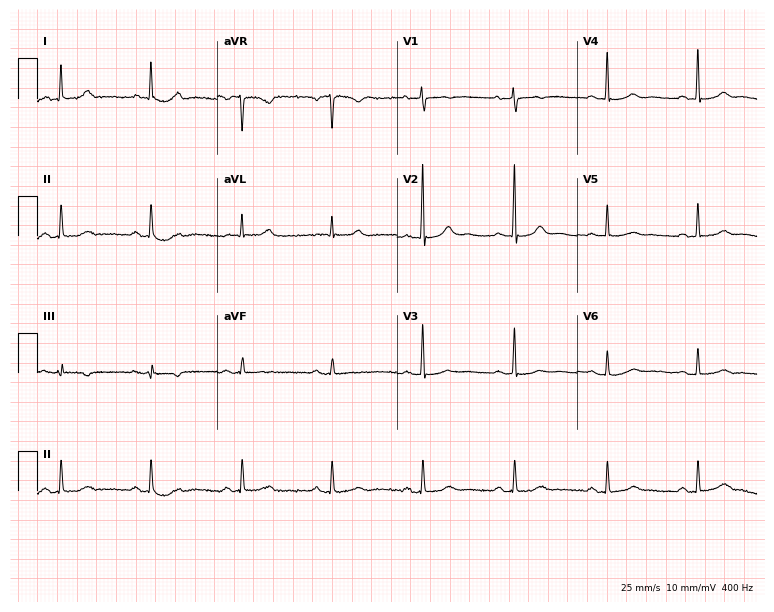
Standard 12-lead ECG recorded from a female, 74 years old (7.3-second recording at 400 Hz). None of these six findings is recorded: first-degree AV block, right bundle branch block (RBBB), left bundle branch block (LBBB), sinus bradycardia, atrial fibrillation (AF), sinus tachycardia. Other findings, if any, are not listed.